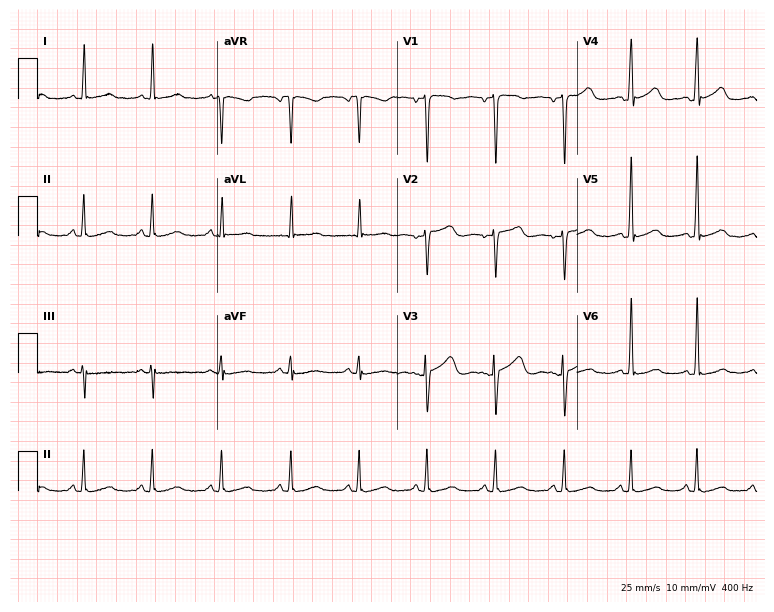
12-lead ECG from a woman, 40 years old. Labelled as a normal ECG.